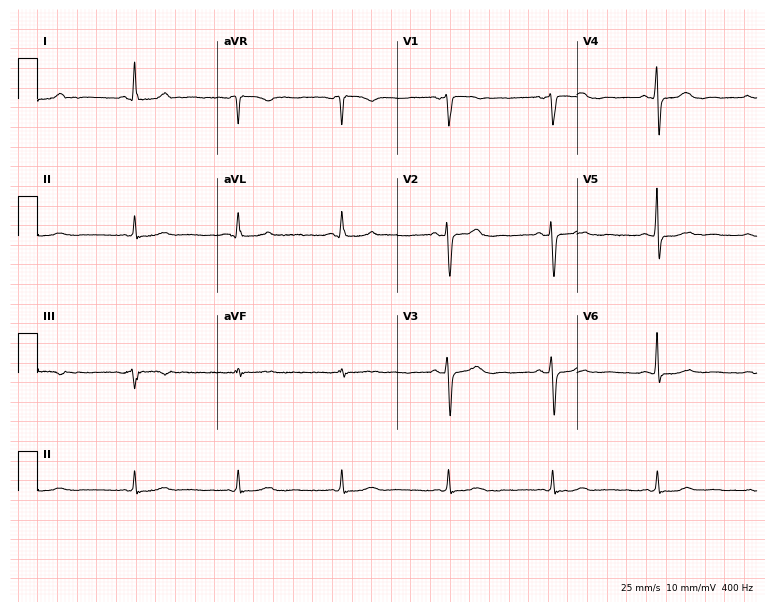
Resting 12-lead electrocardiogram (7.3-second recording at 400 Hz). Patient: a 72-year-old man. Read as a normal ECG.